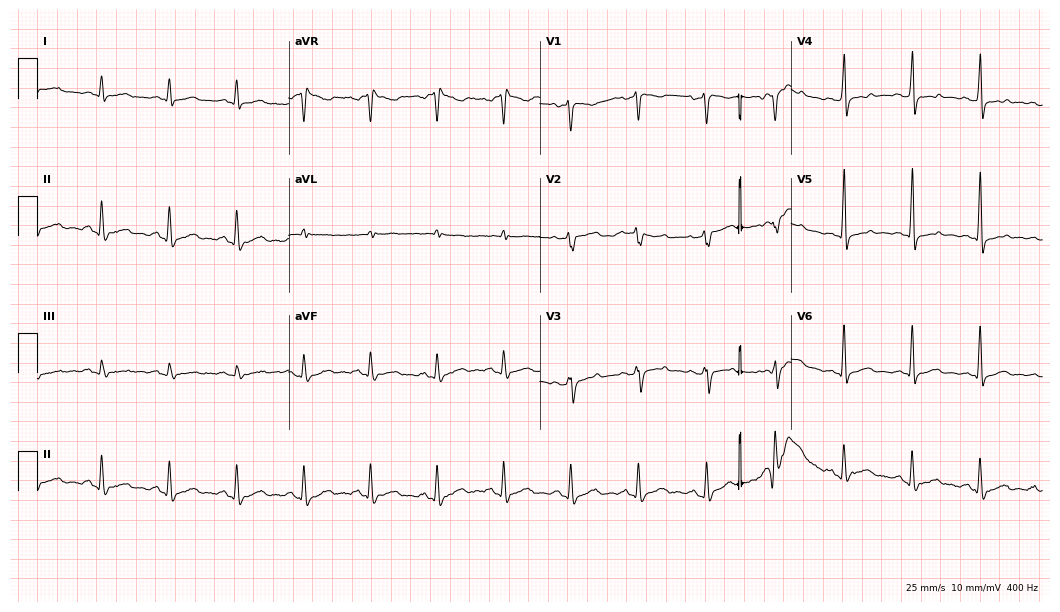
12-lead ECG from a man, 48 years old. Screened for six findings — first-degree AV block, right bundle branch block (RBBB), left bundle branch block (LBBB), sinus bradycardia, atrial fibrillation (AF), sinus tachycardia — none is recorded.